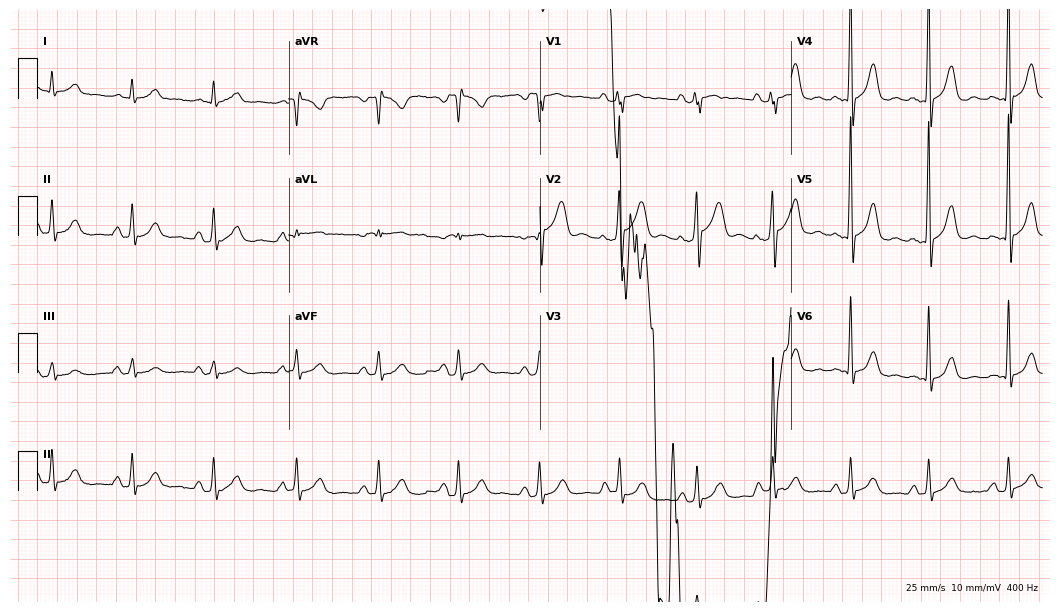
12-lead ECG from a 60-year-old man. No first-degree AV block, right bundle branch block (RBBB), left bundle branch block (LBBB), sinus bradycardia, atrial fibrillation (AF) or sinus tachycardia recorded for this tracing.